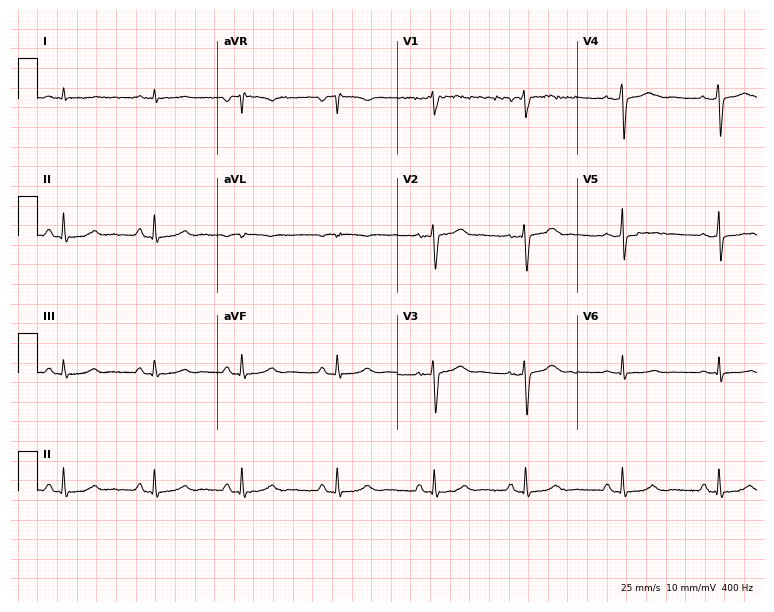
ECG (7.3-second recording at 400 Hz) — a woman, 33 years old. Labelled as a normal ECG.